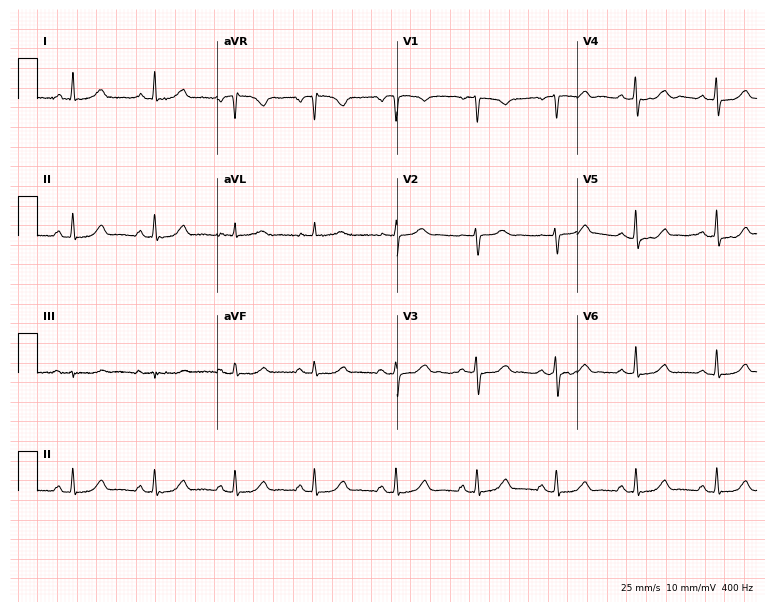
ECG (7.3-second recording at 400 Hz) — a 54-year-old female. Labelled as a normal ECG.